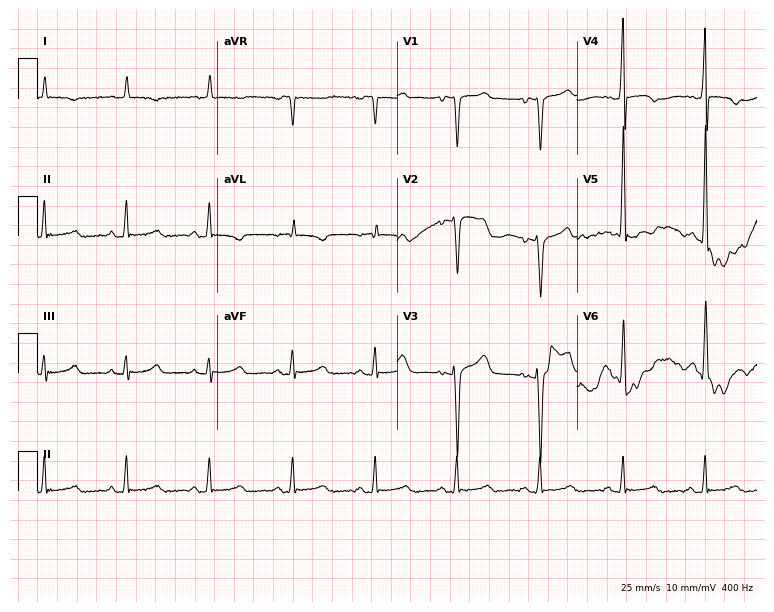
Standard 12-lead ECG recorded from a 64-year-old male patient (7.3-second recording at 400 Hz). None of these six findings is recorded: first-degree AV block, right bundle branch block (RBBB), left bundle branch block (LBBB), sinus bradycardia, atrial fibrillation (AF), sinus tachycardia.